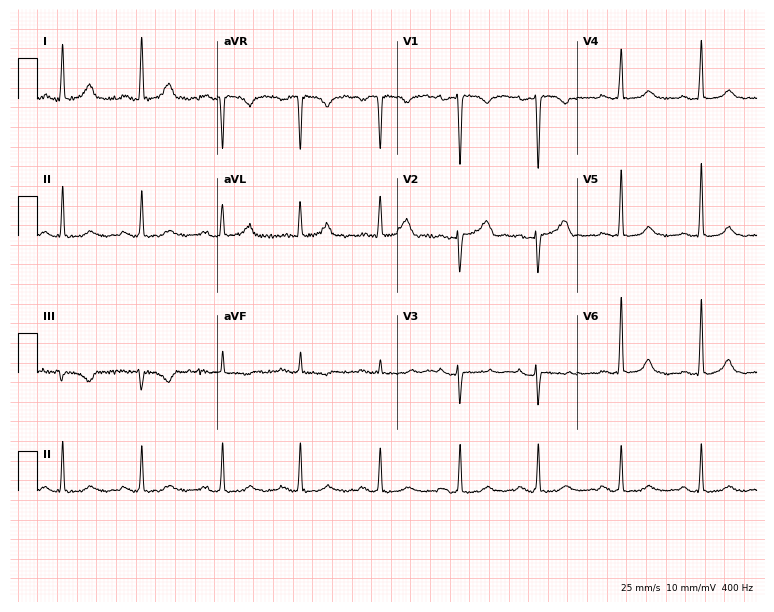
Electrocardiogram, a 46-year-old female. Interpretation includes first-degree AV block.